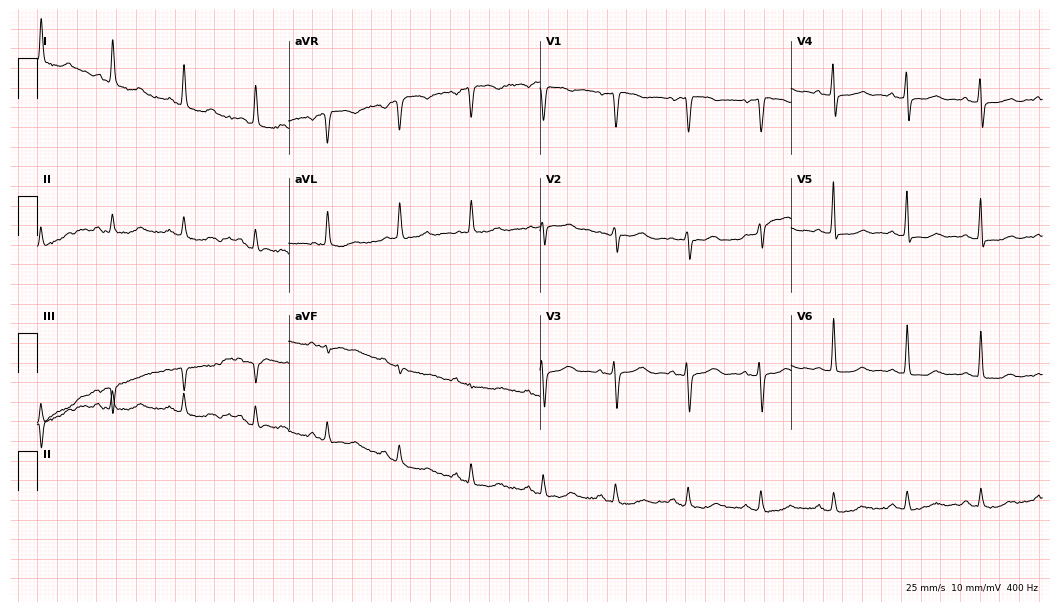
Standard 12-lead ECG recorded from a woman, 64 years old. None of these six findings is recorded: first-degree AV block, right bundle branch block (RBBB), left bundle branch block (LBBB), sinus bradycardia, atrial fibrillation (AF), sinus tachycardia. Findings outside these six are not listed.